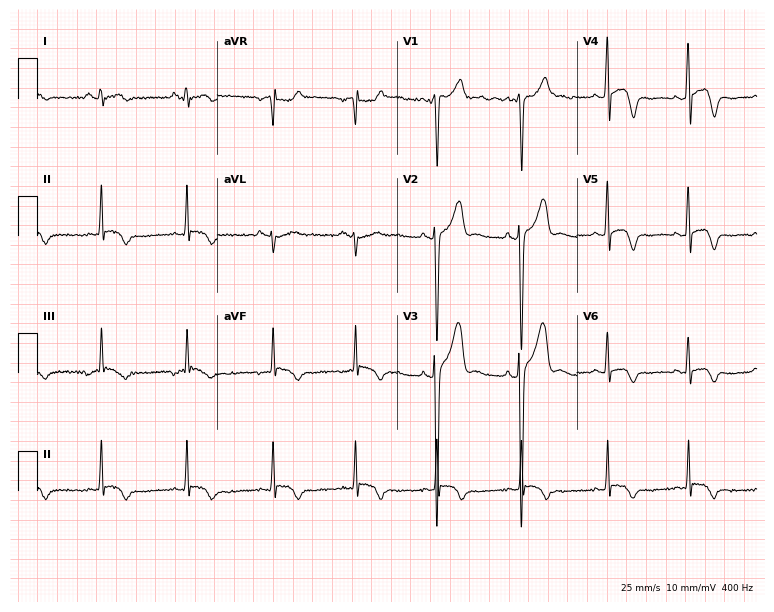
12-lead ECG from a man, 26 years old (7.3-second recording at 400 Hz). No first-degree AV block, right bundle branch block (RBBB), left bundle branch block (LBBB), sinus bradycardia, atrial fibrillation (AF) or sinus tachycardia recorded for this tracing.